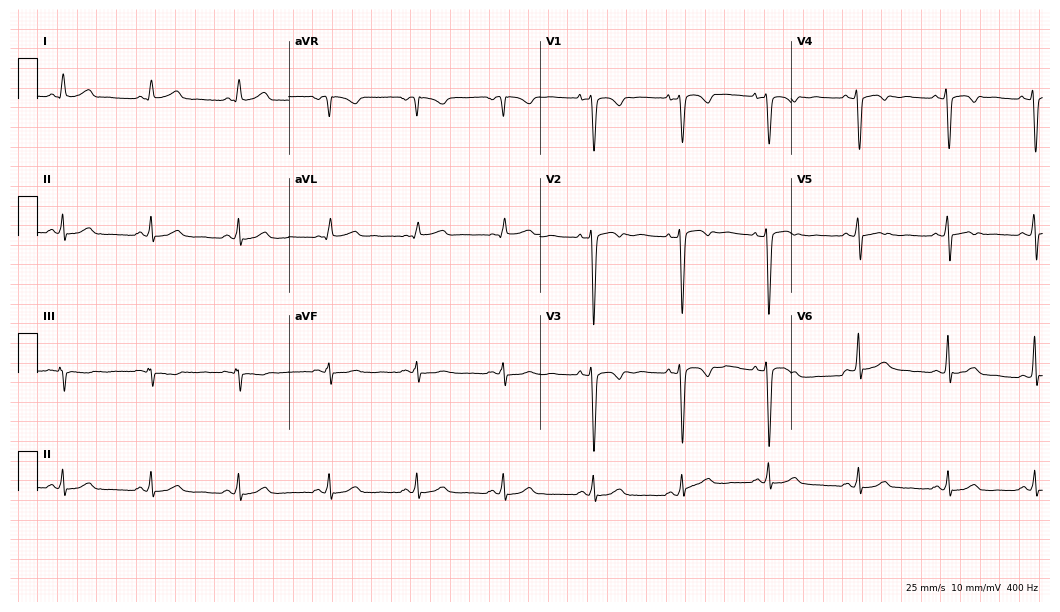
Resting 12-lead electrocardiogram. Patient: a female, 55 years old. None of these six findings is recorded: first-degree AV block, right bundle branch block, left bundle branch block, sinus bradycardia, atrial fibrillation, sinus tachycardia. Findings outside these six are not listed.